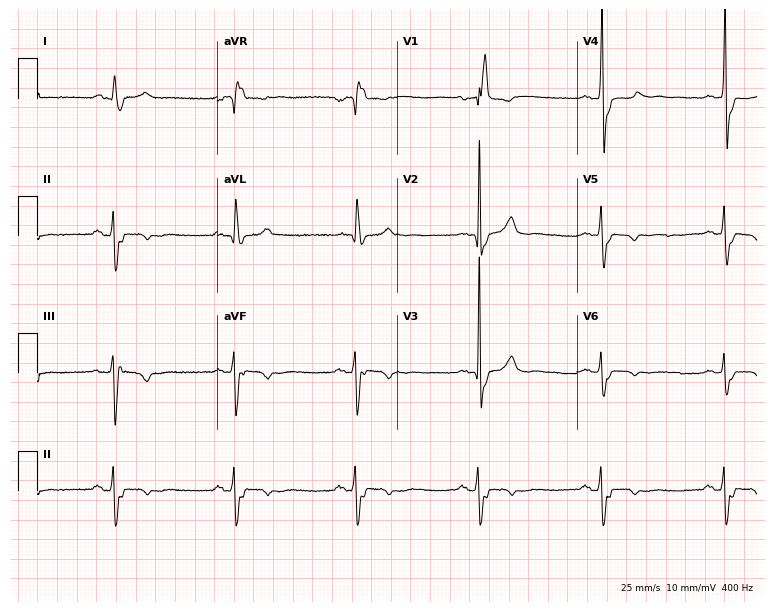
ECG (7.3-second recording at 400 Hz) — a male patient, 75 years old. Findings include right bundle branch block, sinus bradycardia (a sinus rate of 50 beats per minute or less).